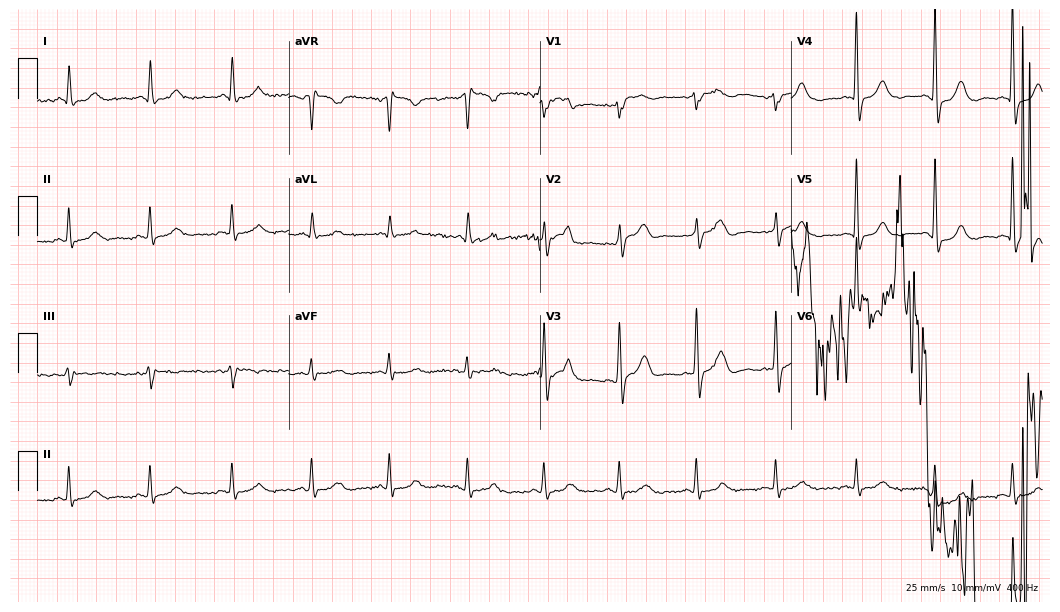
Resting 12-lead electrocardiogram. Patient: a man, 57 years old. None of these six findings is recorded: first-degree AV block, right bundle branch block, left bundle branch block, sinus bradycardia, atrial fibrillation, sinus tachycardia.